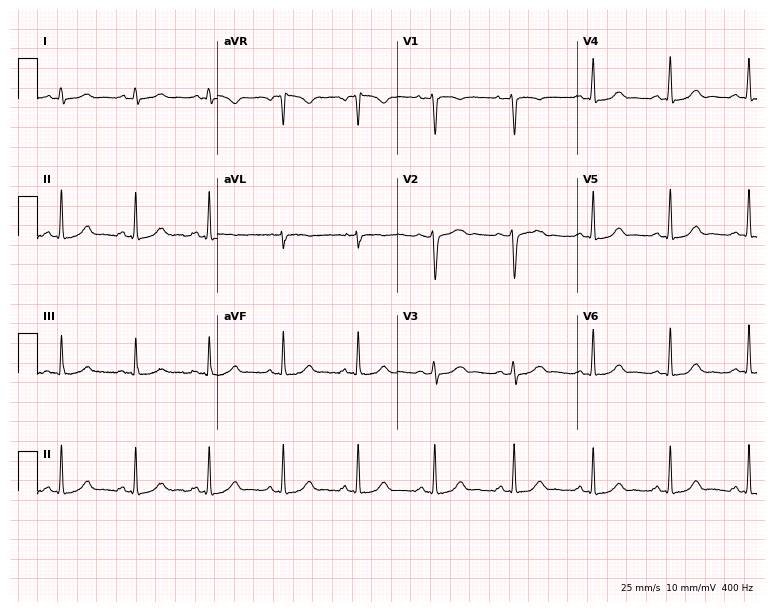
ECG (7.3-second recording at 400 Hz) — a woman, 36 years old. Labelled as a normal ECG.